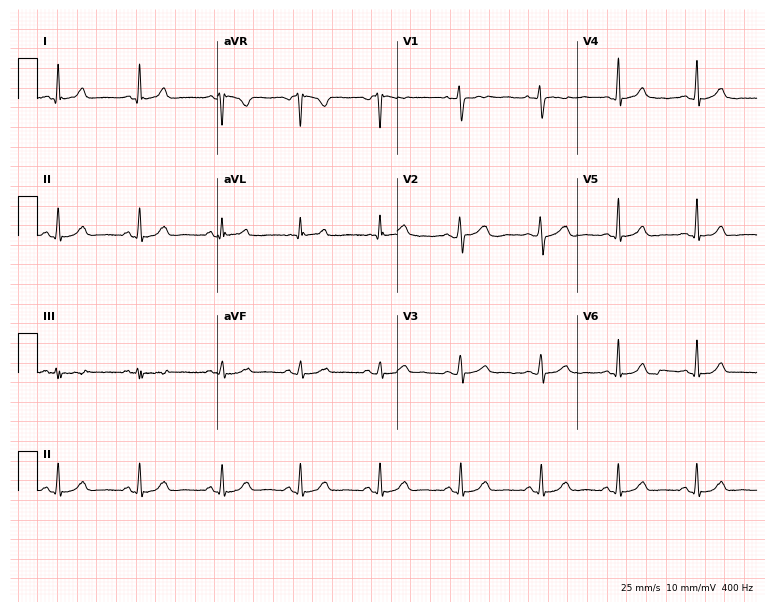
12-lead ECG from a 25-year-old woman (7.3-second recording at 400 Hz). Recorded interpretation: within normal limits.